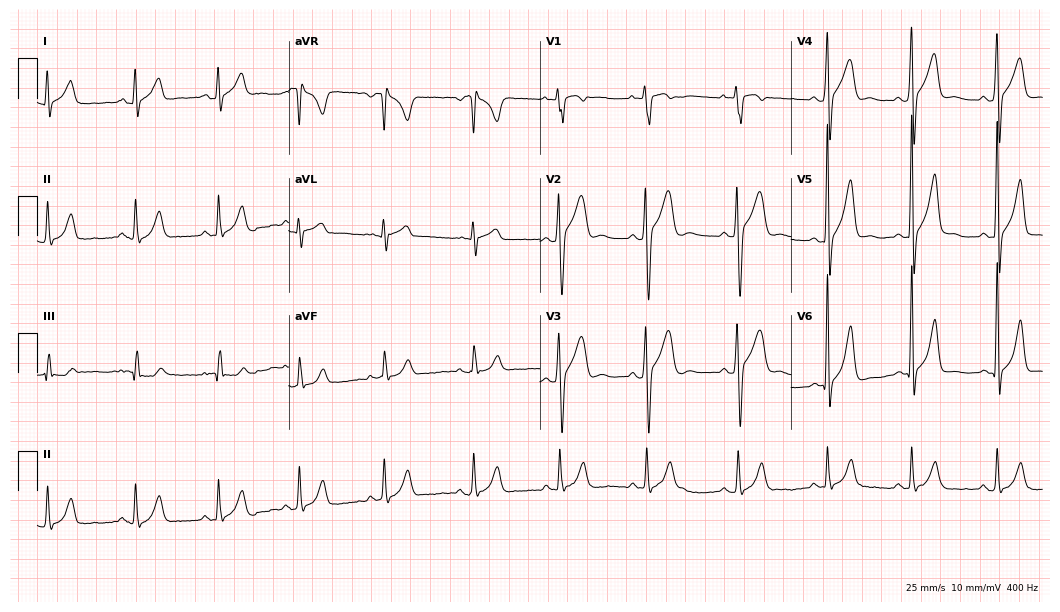
12-lead ECG (10.2-second recording at 400 Hz) from a man, 26 years old. Labelled as a normal ECG.